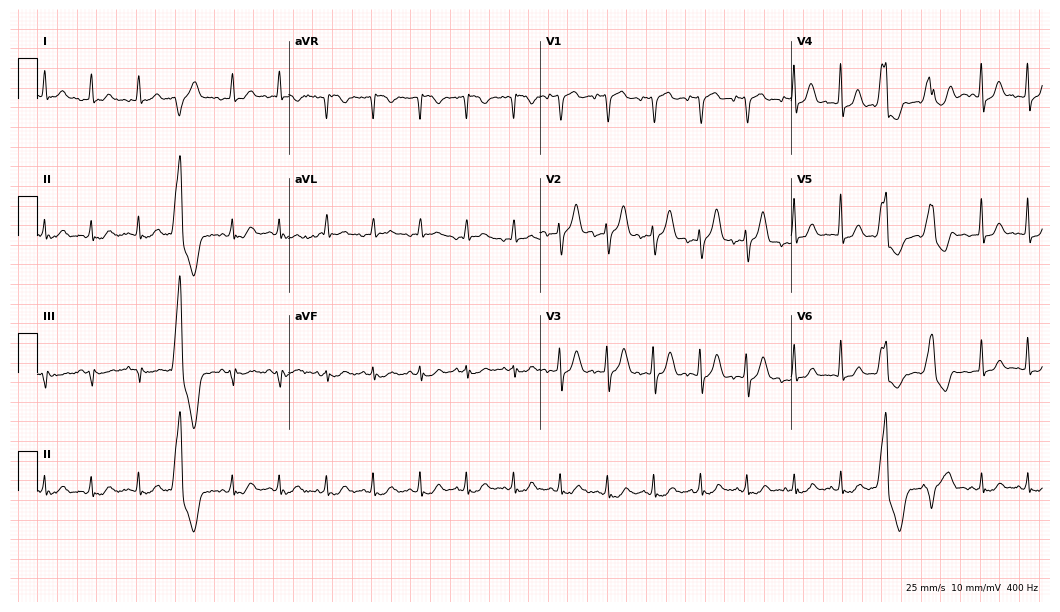
ECG — a man, 71 years old. Screened for six findings — first-degree AV block, right bundle branch block, left bundle branch block, sinus bradycardia, atrial fibrillation, sinus tachycardia — none is recorded.